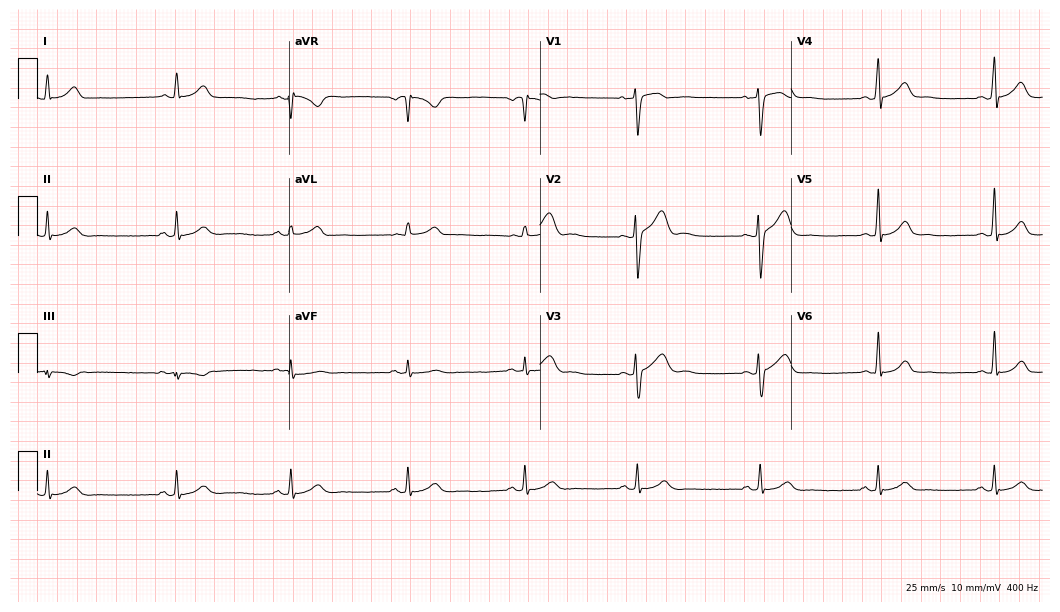
Electrocardiogram (10.2-second recording at 400 Hz), a male patient, 26 years old. Interpretation includes sinus bradycardia (a sinus rate of 50 beats per minute or less).